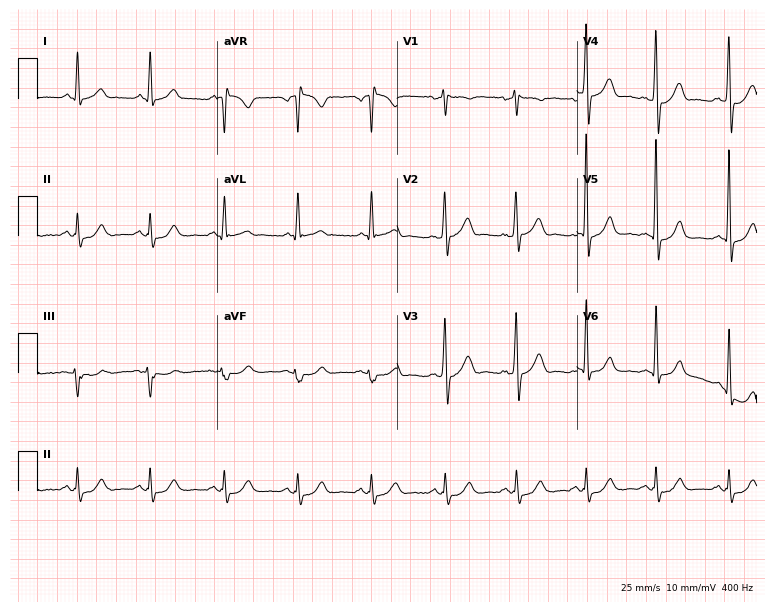
Resting 12-lead electrocardiogram (7.3-second recording at 400 Hz). Patient: a male, 52 years old. None of these six findings is recorded: first-degree AV block, right bundle branch block (RBBB), left bundle branch block (LBBB), sinus bradycardia, atrial fibrillation (AF), sinus tachycardia. Only these six findings were labelled.